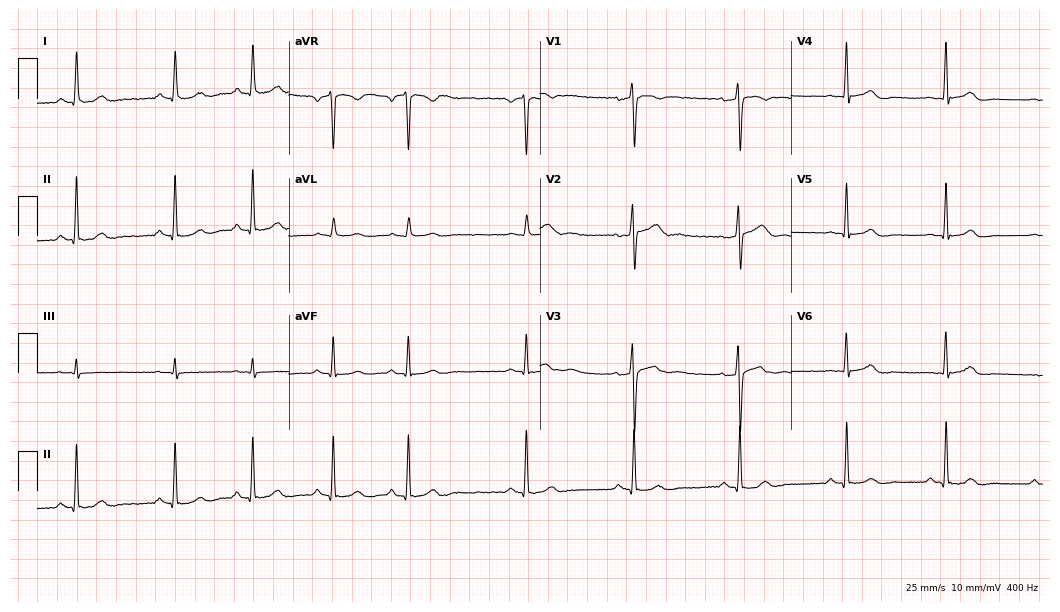
Standard 12-lead ECG recorded from a 25-year-old female patient. None of these six findings is recorded: first-degree AV block, right bundle branch block, left bundle branch block, sinus bradycardia, atrial fibrillation, sinus tachycardia.